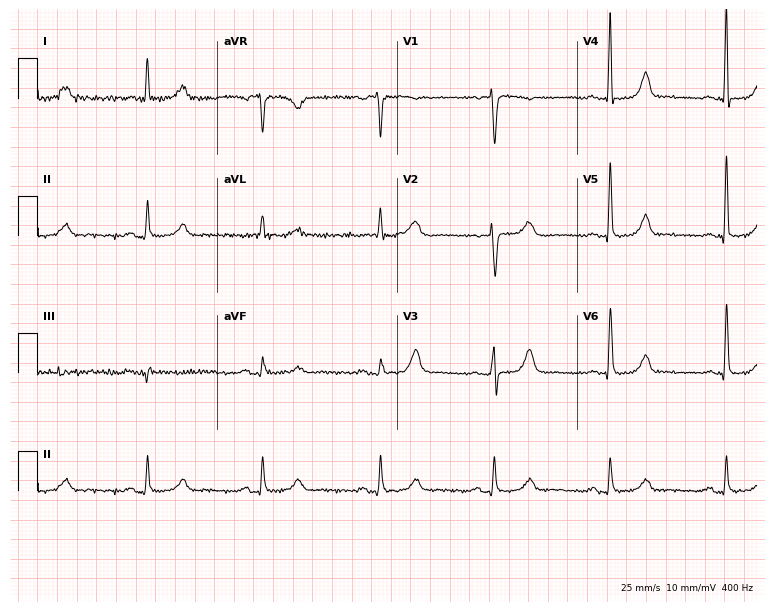
Resting 12-lead electrocardiogram (7.3-second recording at 400 Hz). Patient: a female, 74 years old. None of these six findings is recorded: first-degree AV block, right bundle branch block, left bundle branch block, sinus bradycardia, atrial fibrillation, sinus tachycardia. Other findings, if any, are not listed.